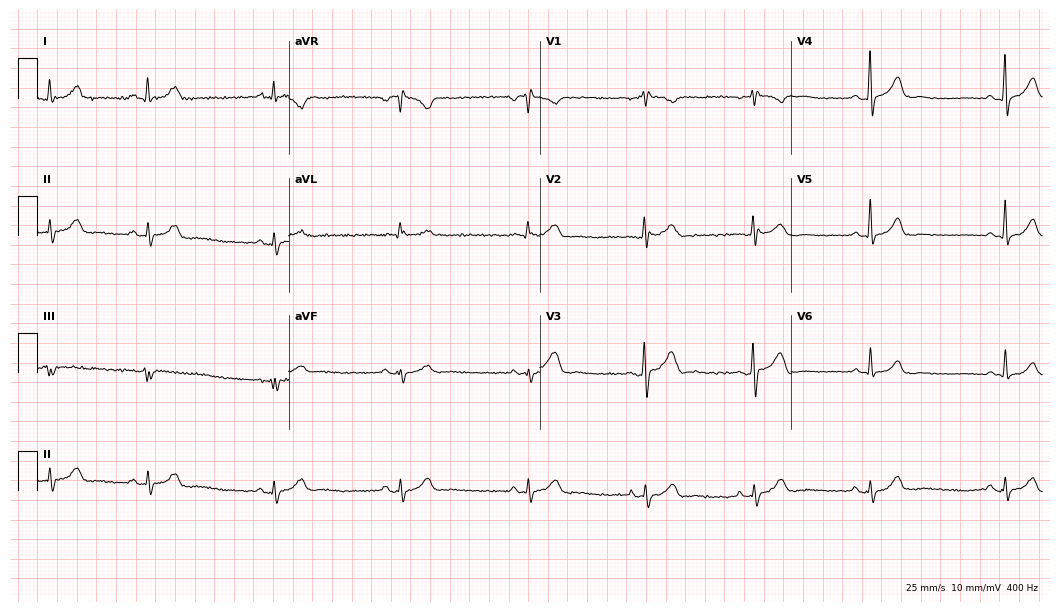
12-lead ECG from a 49-year-old female. Labelled as a normal ECG.